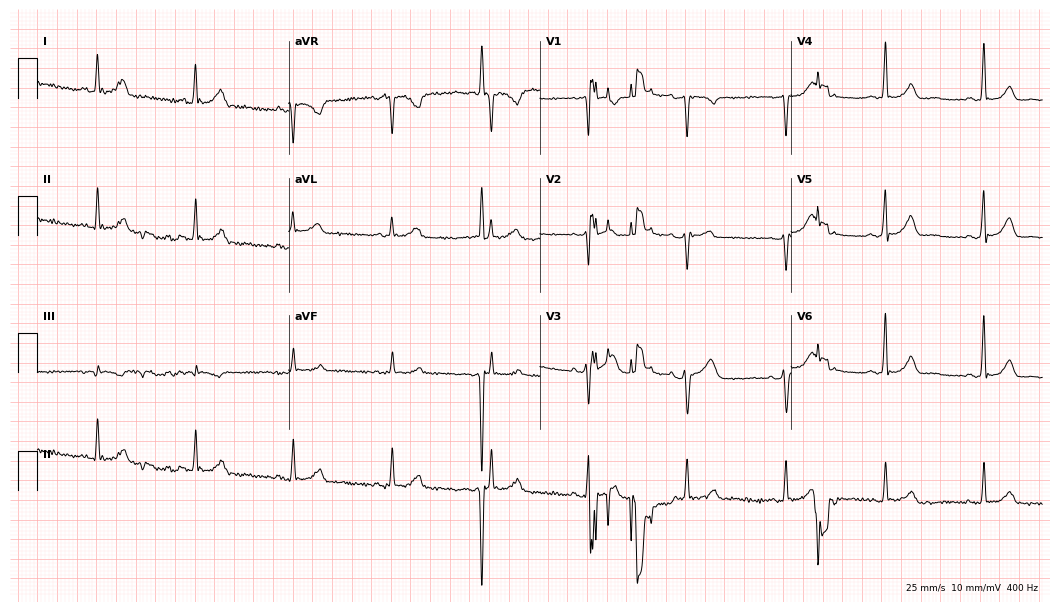
Resting 12-lead electrocardiogram (10.2-second recording at 400 Hz). Patient: a 58-year-old female. Read as a normal ECG.